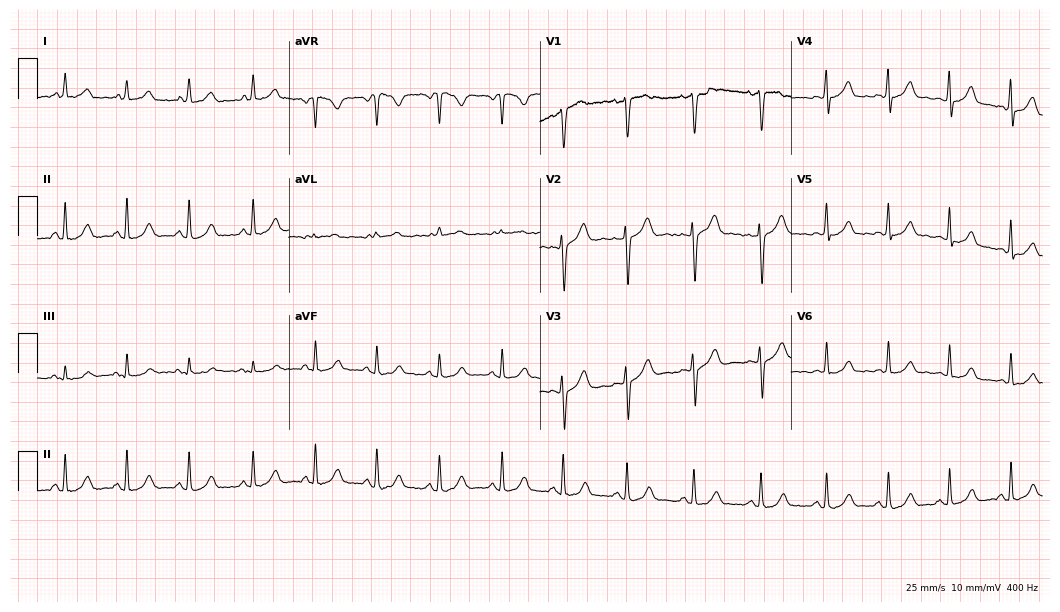
12-lead ECG from a 36-year-old woman. Labelled as a normal ECG.